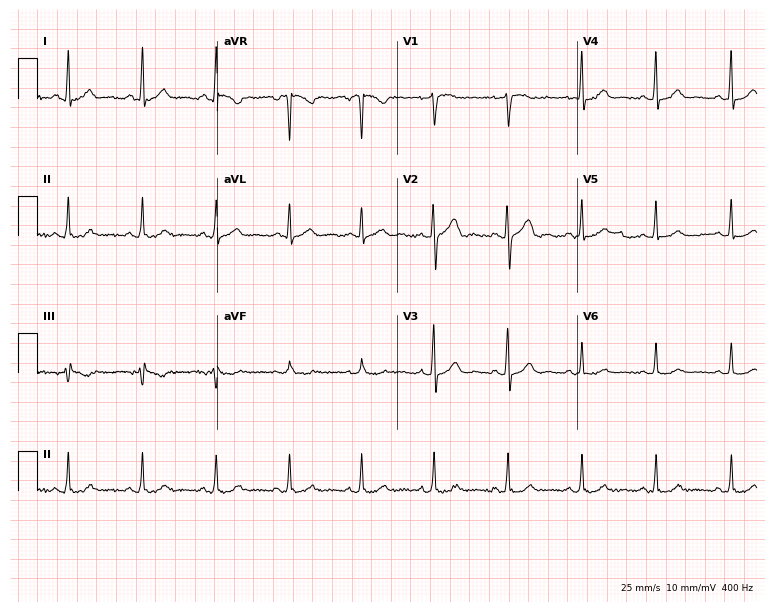
ECG (7.3-second recording at 400 Hz) — a 55-year-old female. Labelled as a normal ECG.